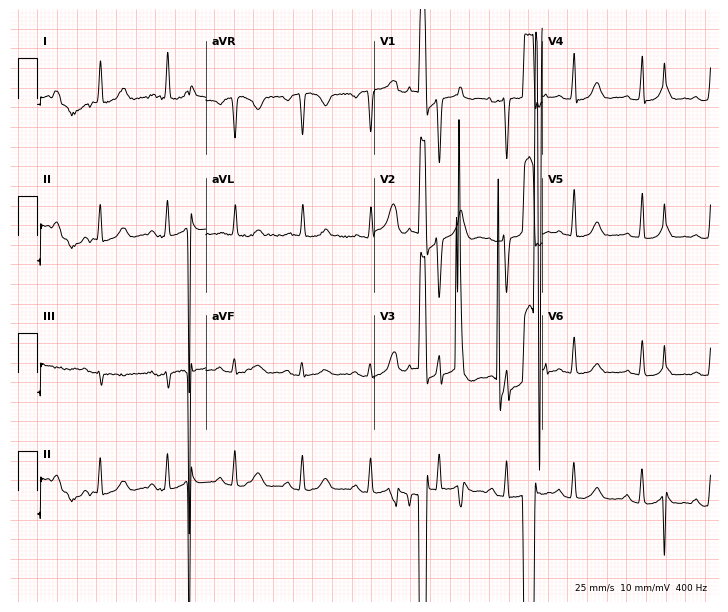
ECG (6.9-second recording at 400 Hz) — a female, 50 years old. Screened for six findings — first-degree AV block, right bundle branch block (RBBB), left bundle branch block (LBBB), sinus bradycardia, atrial fibrillation (AF), sinus tachycardia — none is recorded. Findings outside these six are not listed.